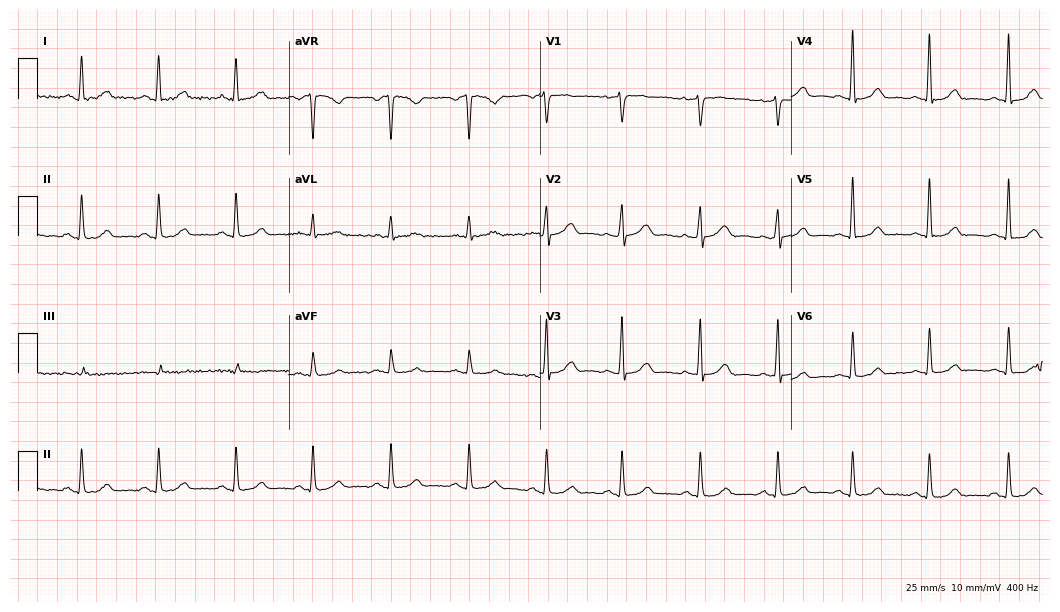
Standard 12-lead ECG recorded from a female, 39 years old. Read as a normal ECG.